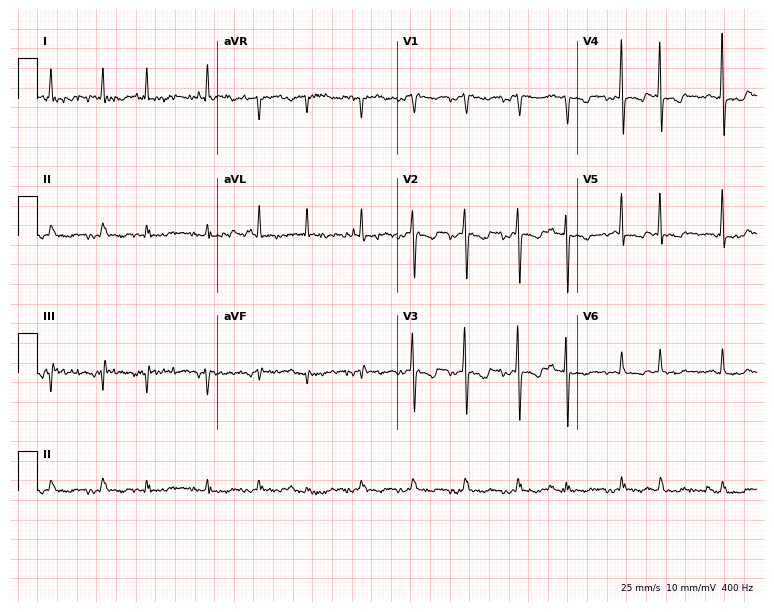
Resting 12-lead electrocardiogram. Patient: a male, 70 years old. The tracing shows atrial fibrillation, sinus tachycardia (a sinus rate of 100 beats per minute or more).